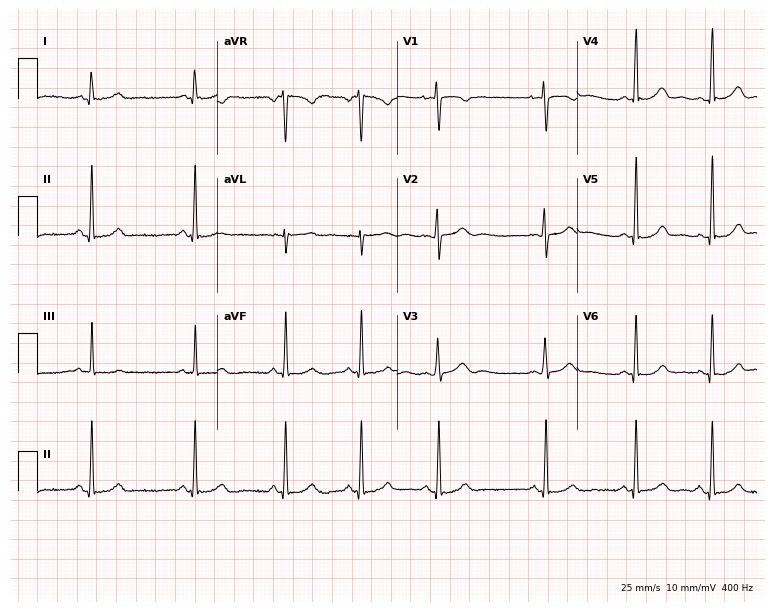
12-lead ECG from an 18-year-old woman. Recorded interpretation: within normal limits.